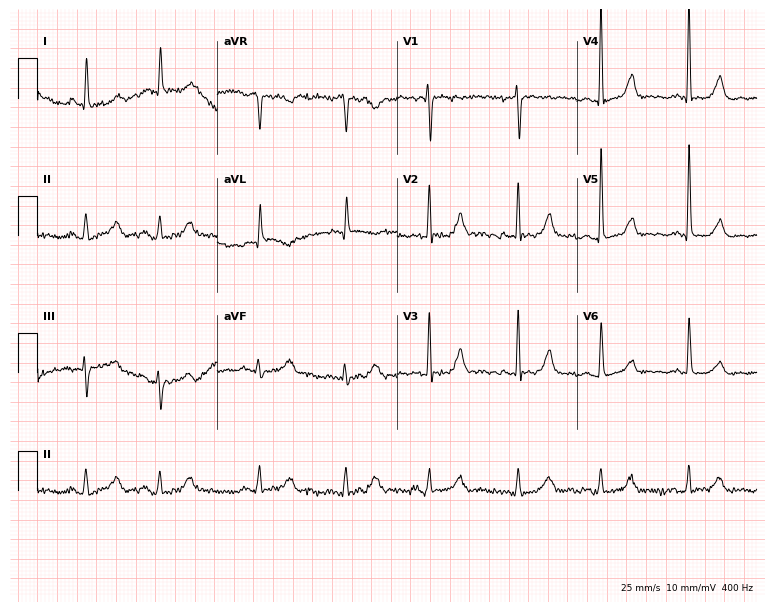
12-lead ECG (7.3-second recording at 400 Hz) from a female patient, 78 years old. Screened for six findings — first-degree AV block, right bundle branch block, left bundle branch block, sinus bradycardia, atrial fibrillation, sinus tachycardia — none is recorded. Only these six findings were labelled.